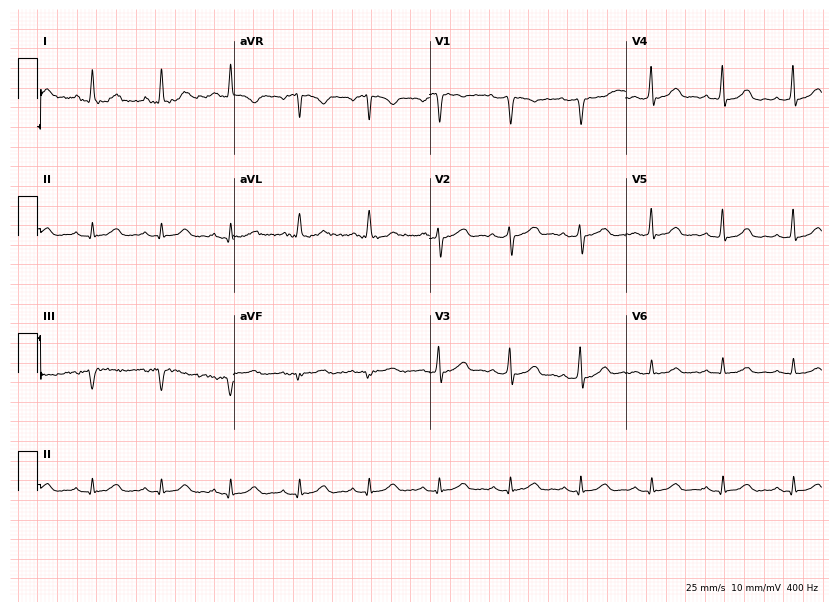
Electrocardiogram (8-second recording at 400 Hz), a woman, 44 years old. Overall reading on record: normal ECG.